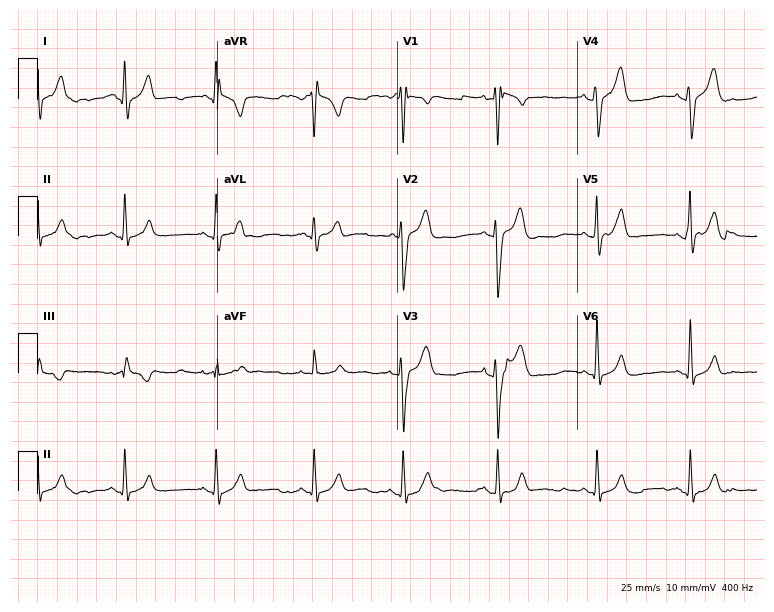
Resting 12-lead electrocardiogram (7.3-second recording at 400 Hz). Patient: a 22-year-old male. Read as a normal ECG.